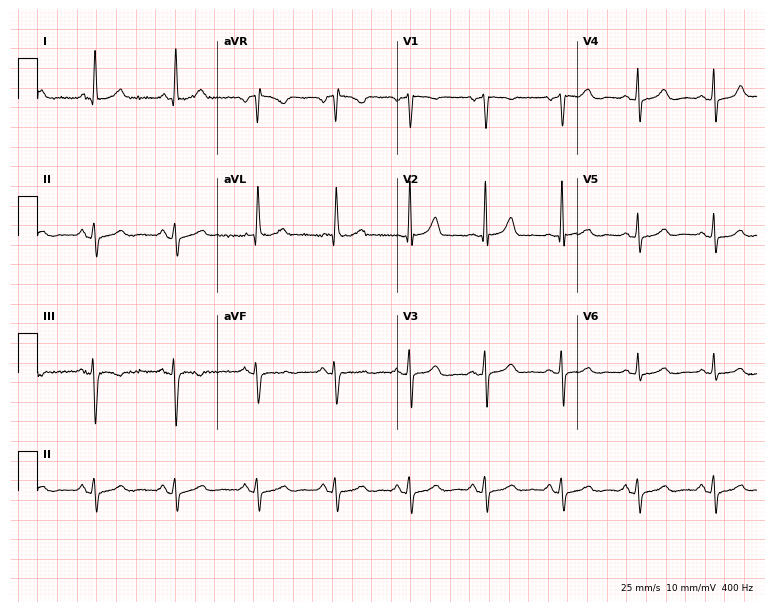
12-lead ECG from a 62-year-old woman. No first-degree AV block, right bundle branch block (RBBB), left bundle branch block (LBBB), sinus bradycardia, atrial fibrillation (AF) or sinus tachycardia recorded for this tracing. Other findings, if any, are not listed.